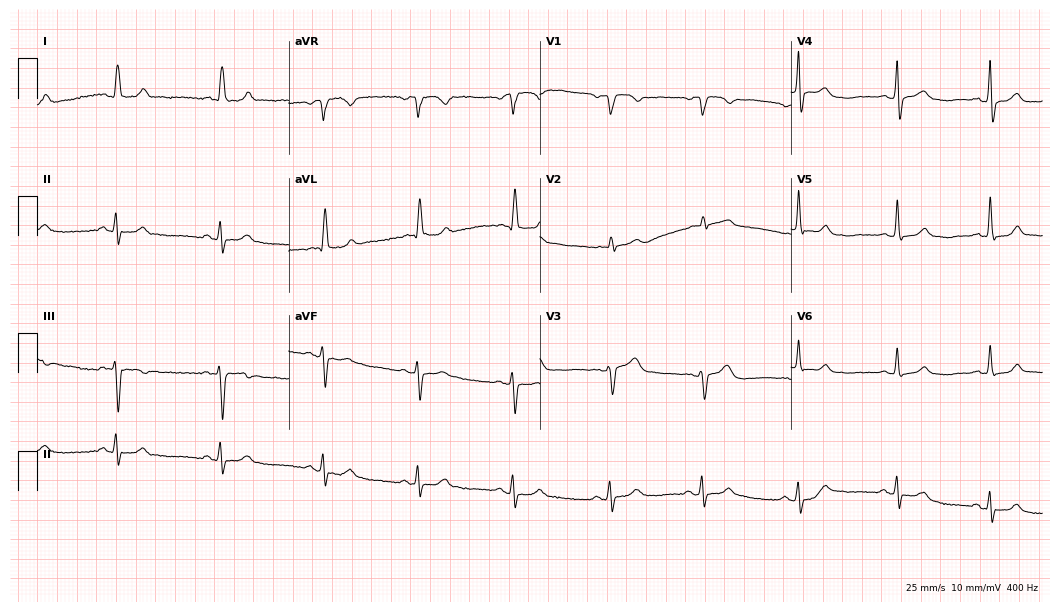
12-lead ECG (10.2-second recording at 400 Hz) from a 73-year-old female patient. Labelled as a normal ECG.